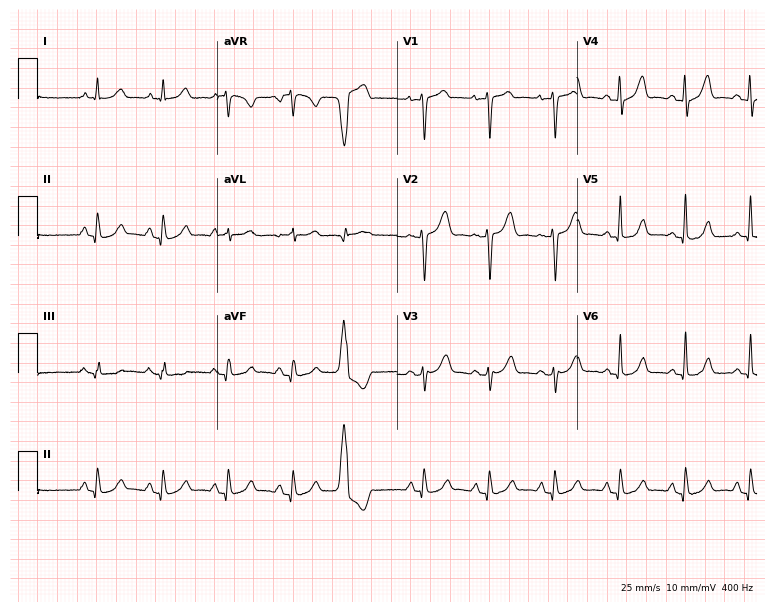
Electrocardiogram (7.3-second recording at 400 Hz), an 80-year-old female patient. Overall reading on record: normal ECG.